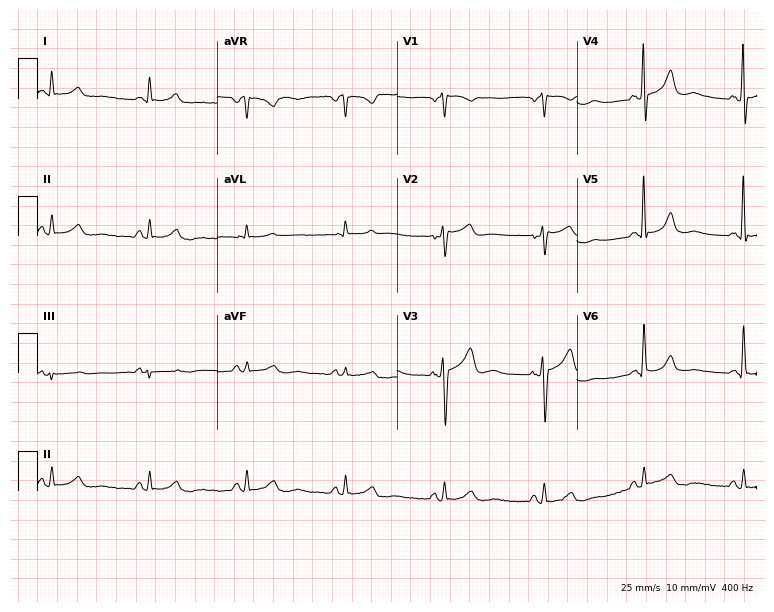
12-lead ECG from a 56-year-old male patient (7.3-second recording at 400 Hz). No first-degree AV block, right bundle branch block (RBBB), left bundle branch block (LBBB), sinus bradycardia, atrial fibrillation (AF) or sinus tachycardia recorded for this tracing. Only these six findings were labelled.